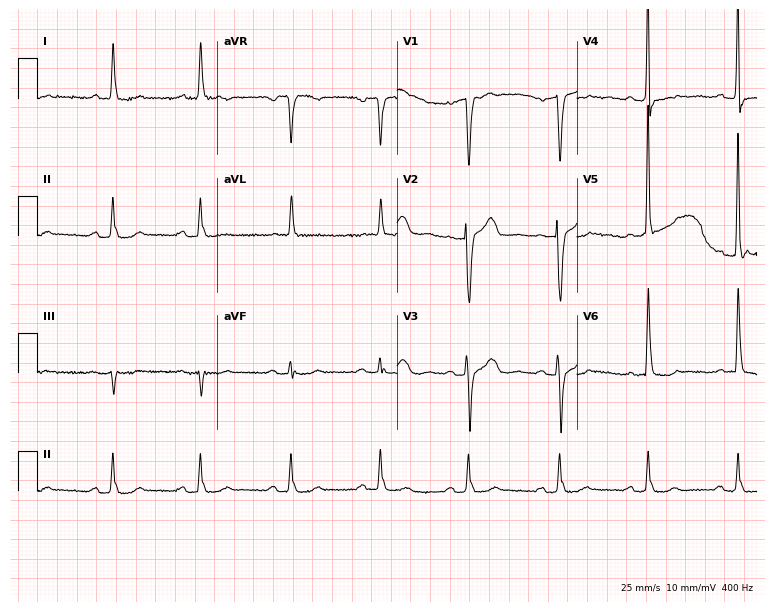
Resting 12-lead electrocardiogram (7.3-second recording at 400 Hz). Patient: a male, 73 years old. Read as a normal ECG.